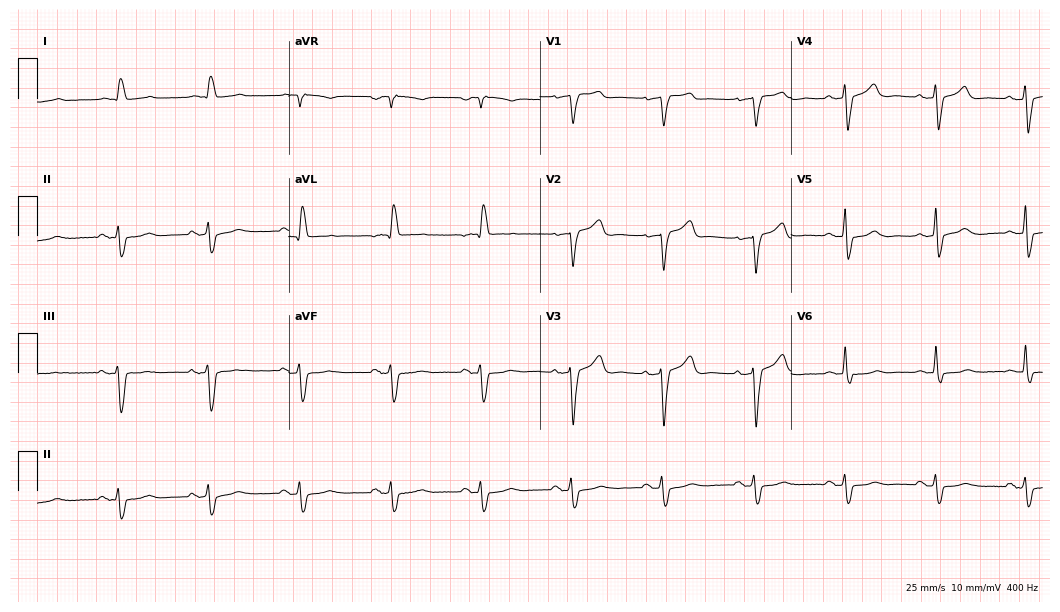
12-lead ECG from a 75-year-old male (10.2-second recording at 400 Hz). No first-degree AV block, right bundle branch block, left bundle branch block, sinus bradycardia, atrial fibrillation or sinus tachycardia recorded for this tracing.